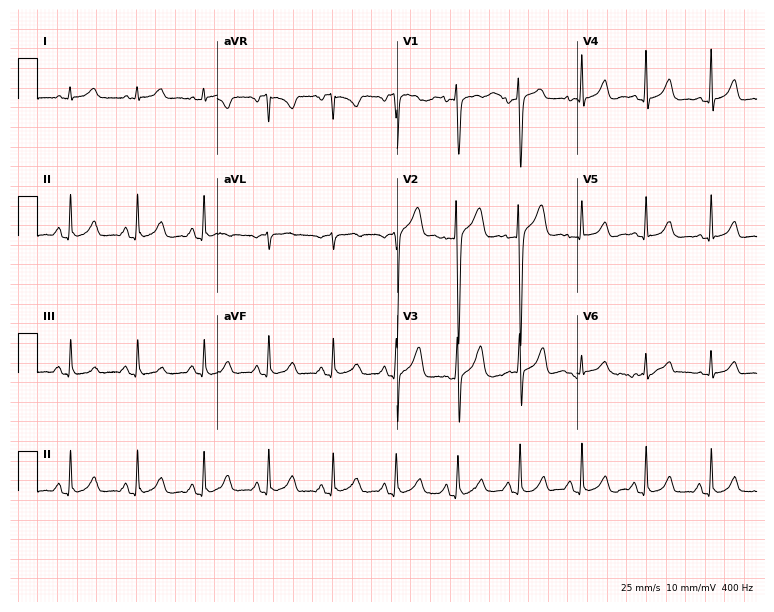
Standard 12-lead ECG recorded from a male patient, 19 years old. Read as a normal ECG.